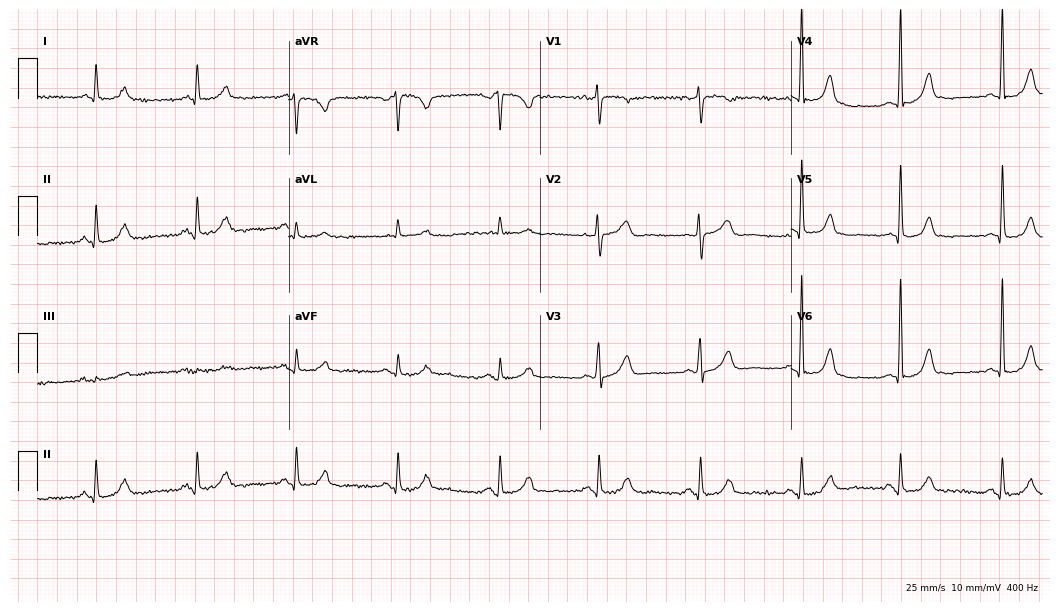
Electrocardiogram, a female, 81 years old. Overall reading on record: normal ECG.